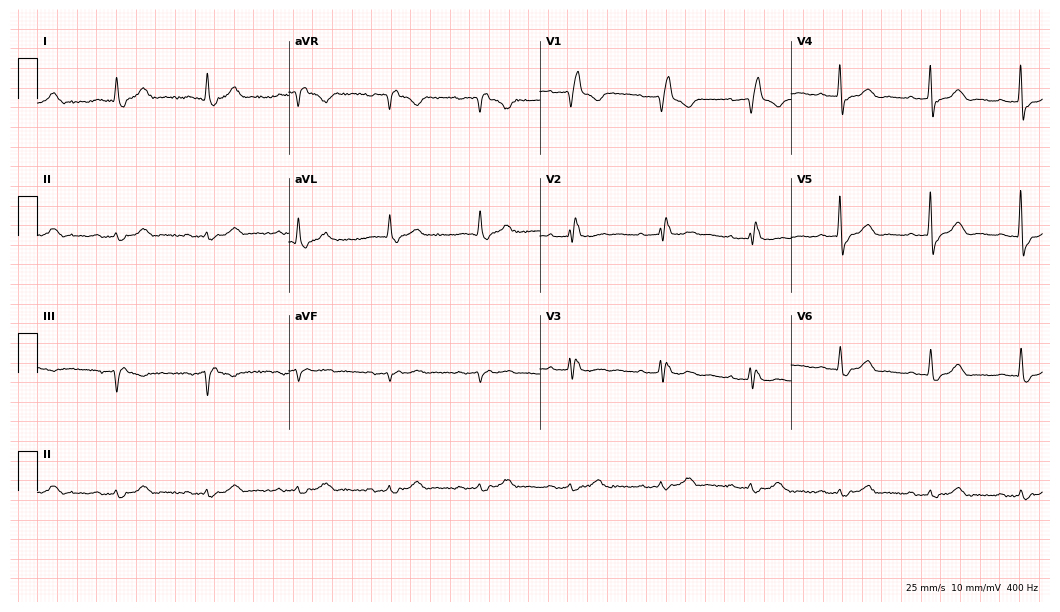
Resting 12-lead electrocardiogram (10.2-second recording at 400 Hz). Patient: a male, 78 years old. The tracing shows first-degree AV block, right bundle branch block.